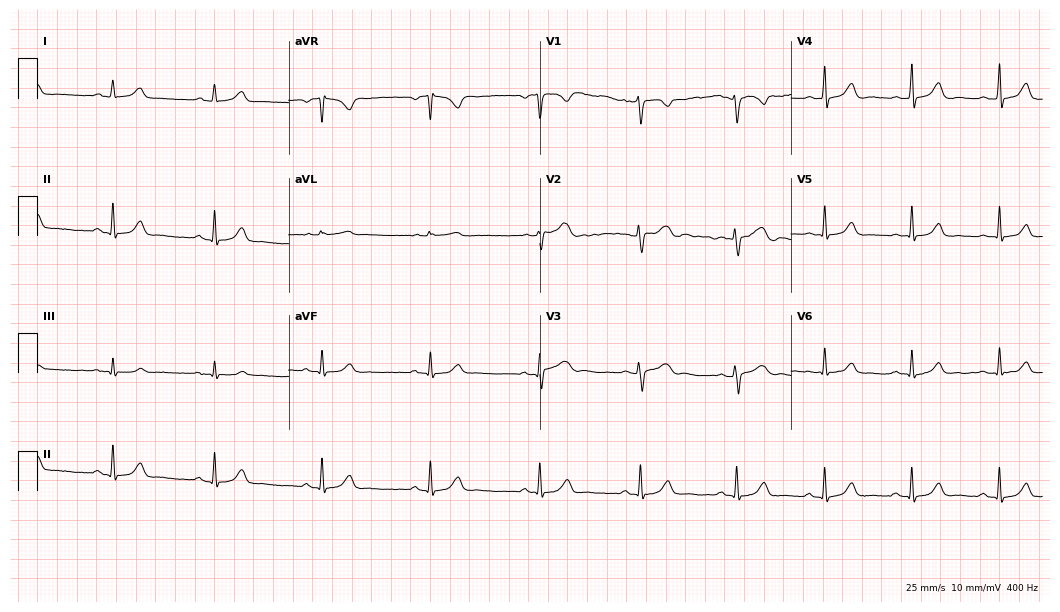
ECG — a 28-year-old female. Labelled as a normal ECG.